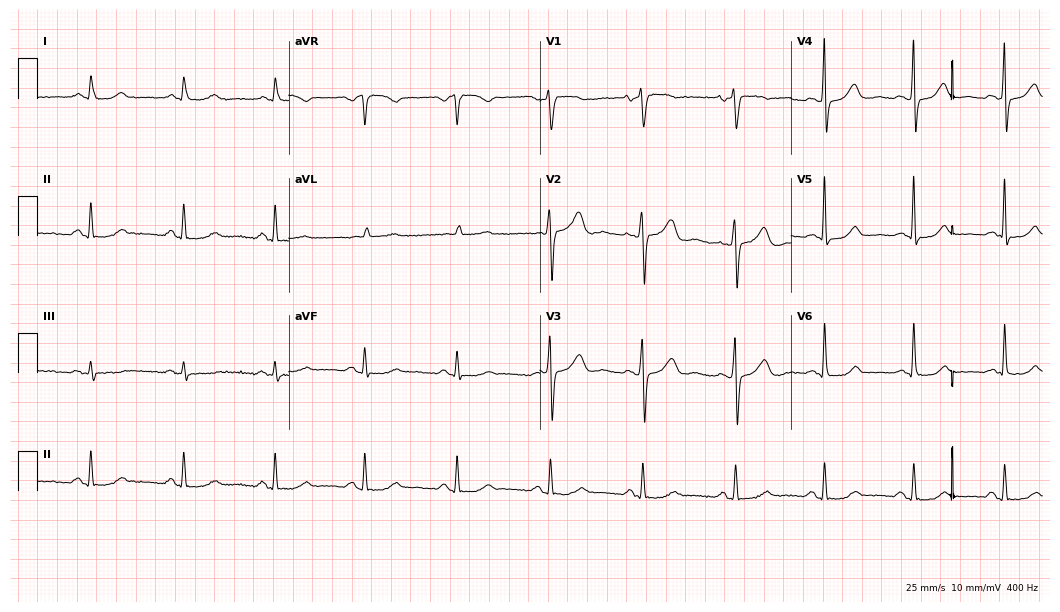
Electrocardiogram, a 57-year-old woman. Overall reading on record: normal ECG.